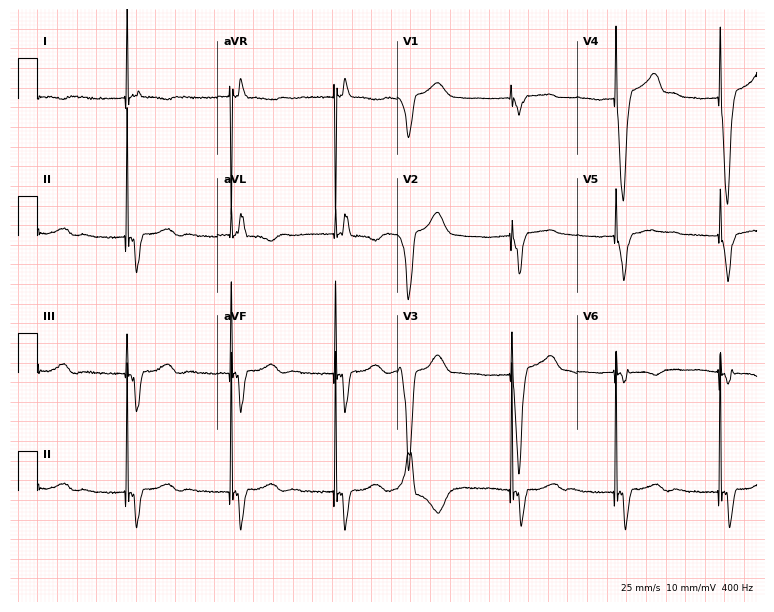
Standard 12-lead ECG recorded from a female patient, 58 years old. None of these six findings is recorded: first-degree AV block, right bundle branch block, left bundle branch block, sinus bradycardia, atrial fibrillation, sinus tachycardia. Only these six findings were labelled.